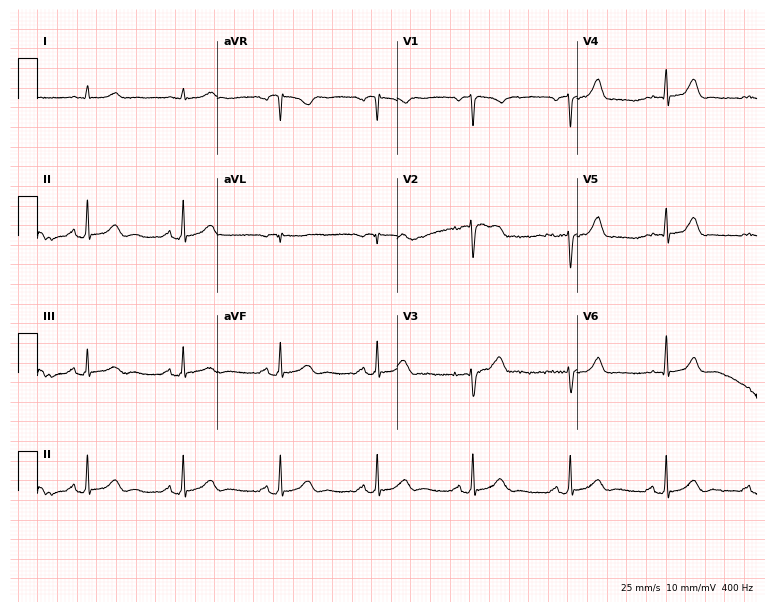
Standard 12-lead ECG recorded from a 59-year-old male patient. None of these six findings is recorded: first-degree AV block, right bundle branch block, left bundle branch block, sinus bradycardia, atrial fibrillation, sinus tachycardia. Only these six findings were labelled.